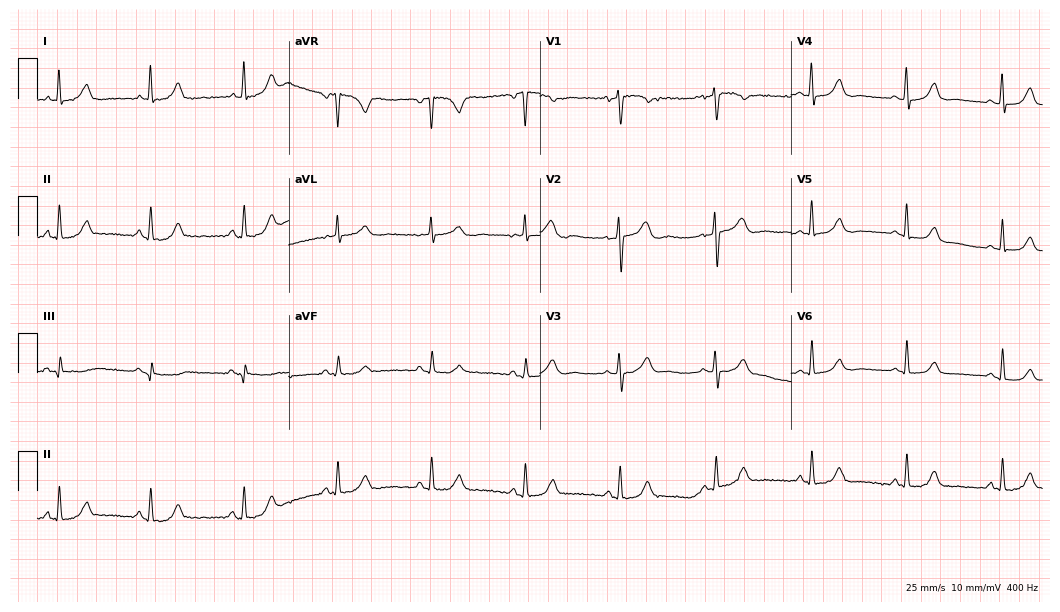
12-lead ECG (10.2-second recording at 400 Hz) from a 60-year-old woman. Labelled as a normal ECG.